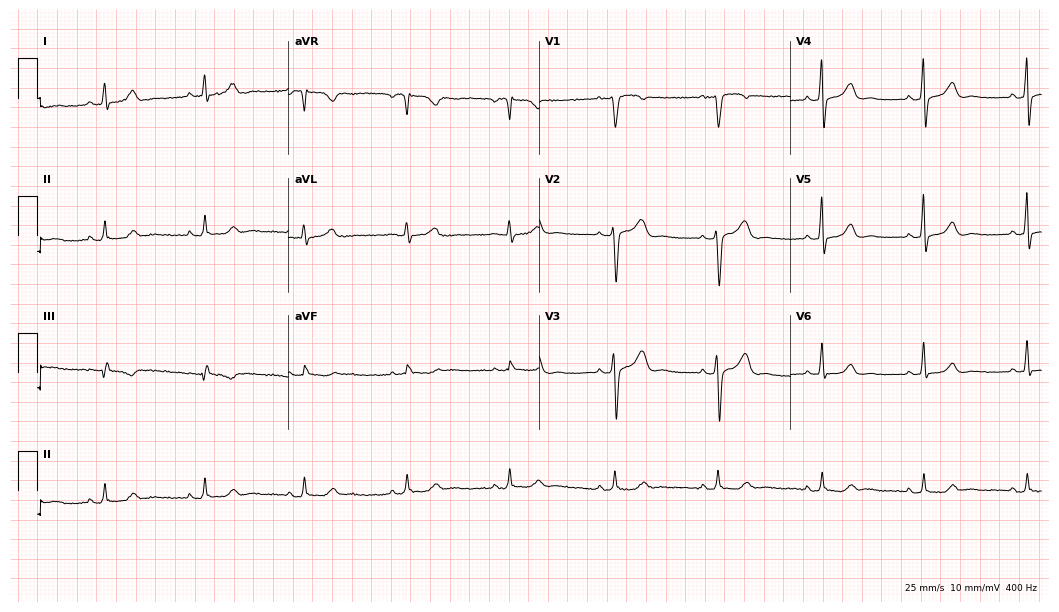
Electrocardiogram, a 64-year-old female patient. Overall reading on record: normal ECG.